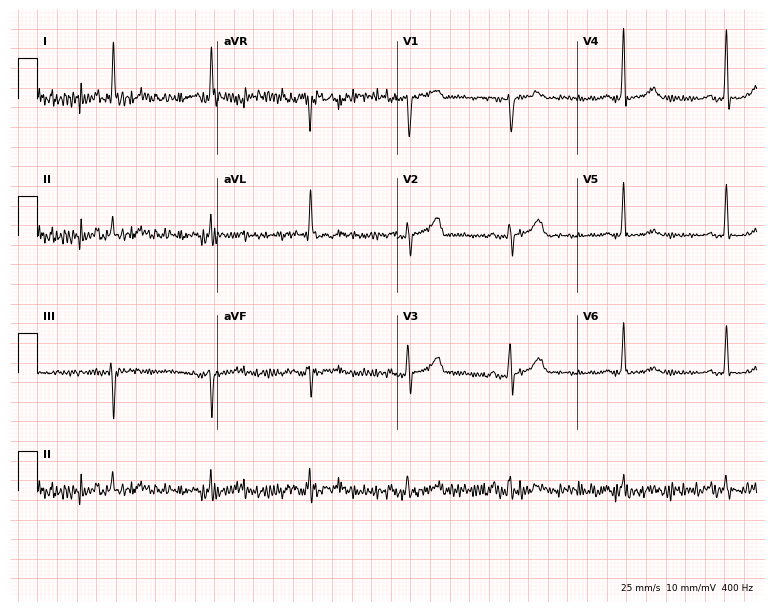
Electrocardiogram (7.3-second recording at 400 Hz), a female patient, 78 years old. Overall reading on record: normal ECG.